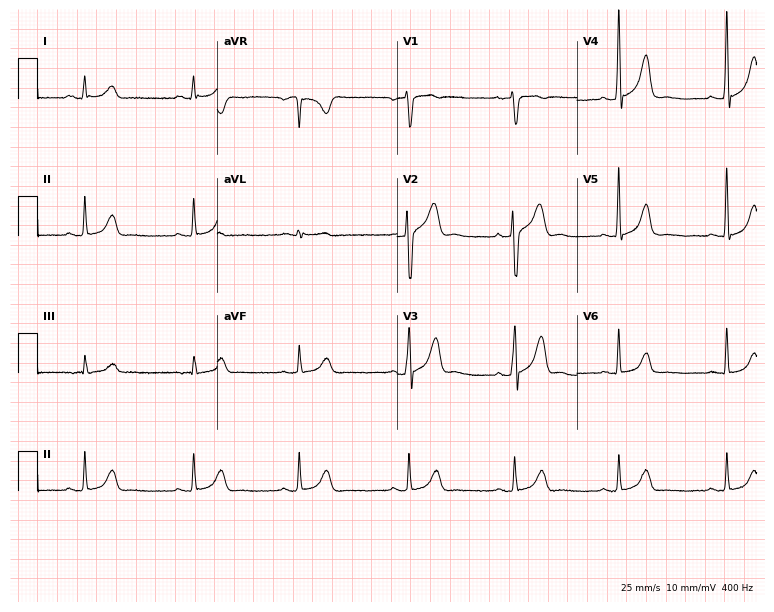
12-lead ECG from a male patient, 37 years old. Recorded interpretation: within normal limits.